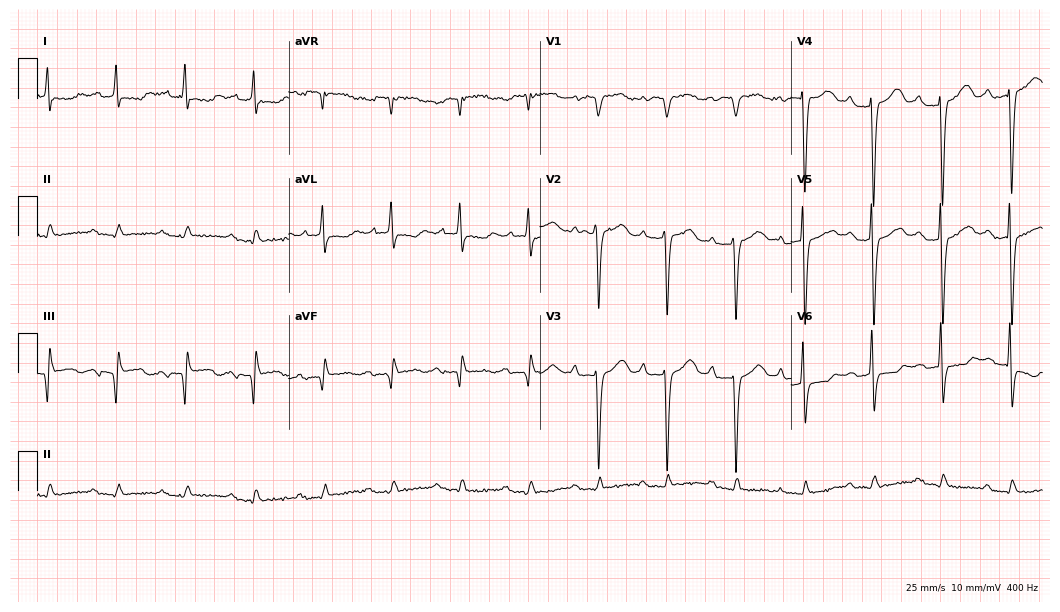
Electrocardiogram, an 84-year-old female patient. Of the six screened findings (first-degree AV block, right bundle branch block, left bundle branch block, sinus bradycardia, atrial fibrillation, sinus tachycardia), none is recorded.